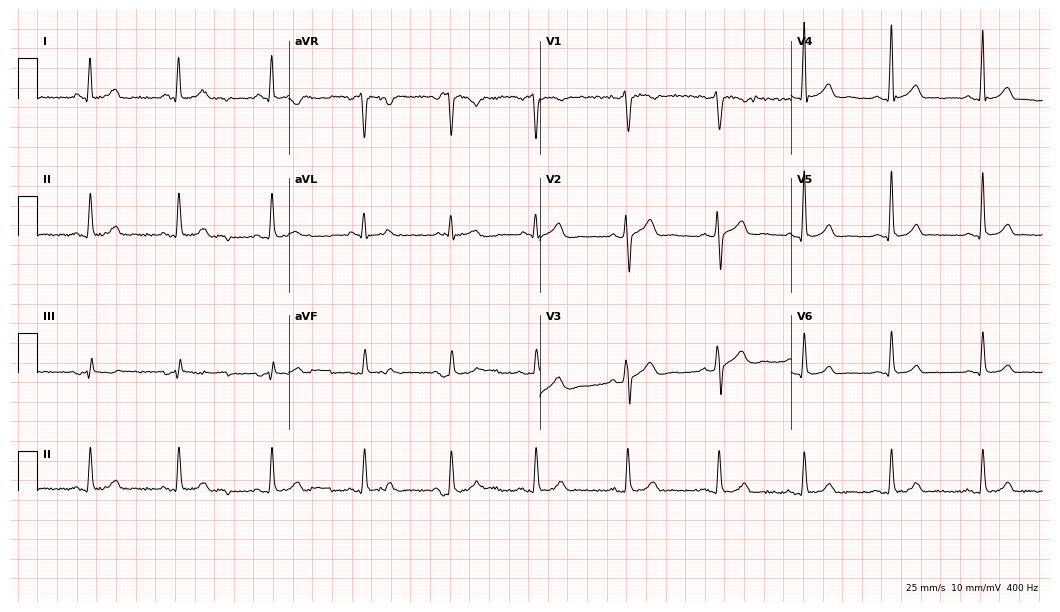
12-lead ECG from a 24-year-old man. Screened for six findings — first-degree AV block, right bundle branch block, left bundle branch block, sinus bradycardia, atrial fibrillation, sinus tachycardia — none is recorded. Other findings, if any, are not listed.